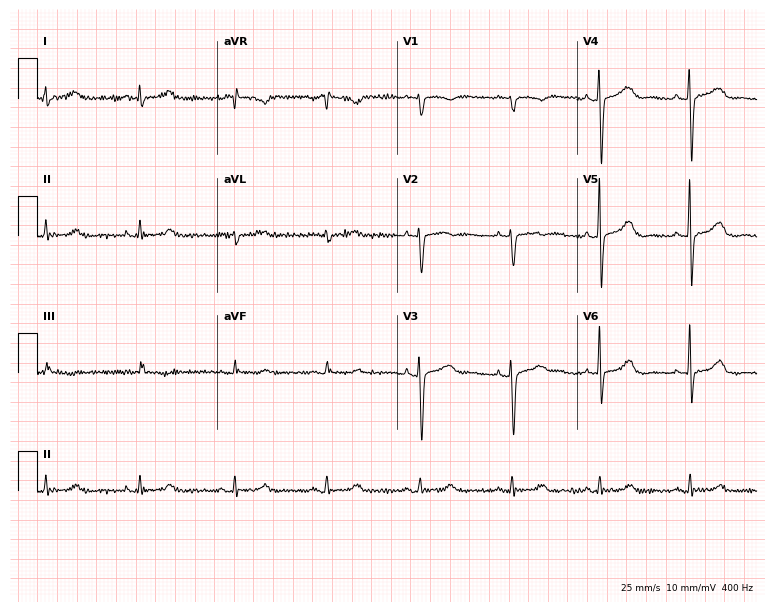
ECG (7.3-second recording at 400 Hz) — a woman, 44 years old. Screened for six findings — first-degree AV block, right bundle branch block (RBBB), left bundle branch block (LBBB), sinus bradycardia, atrial fibrillation (AF), sinus tachycardia — none is recorded.